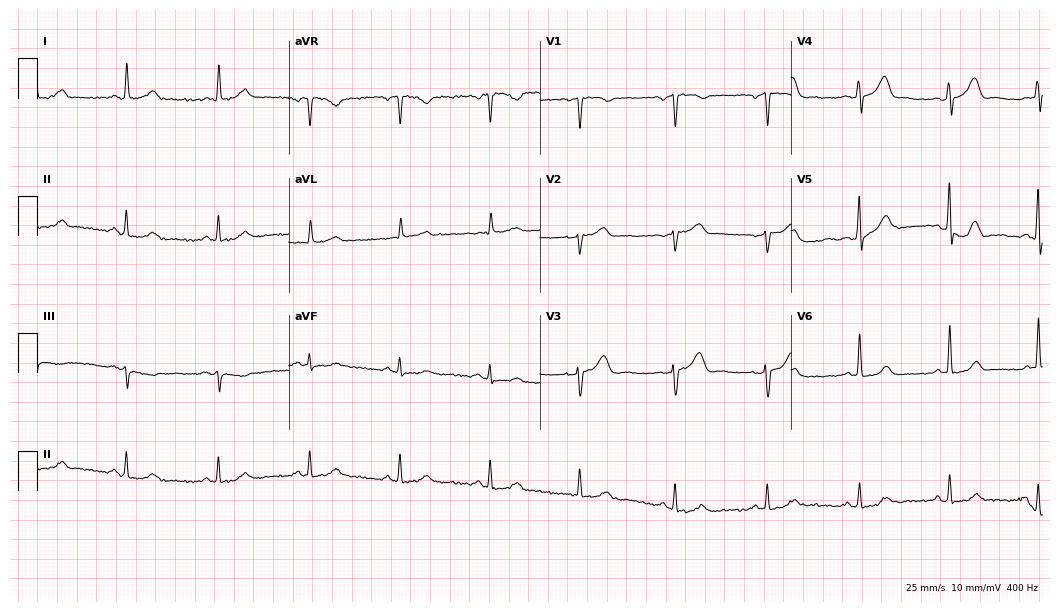
12-lead ECG from a female, 66 years old. Recorded interpretation: within normal limits.